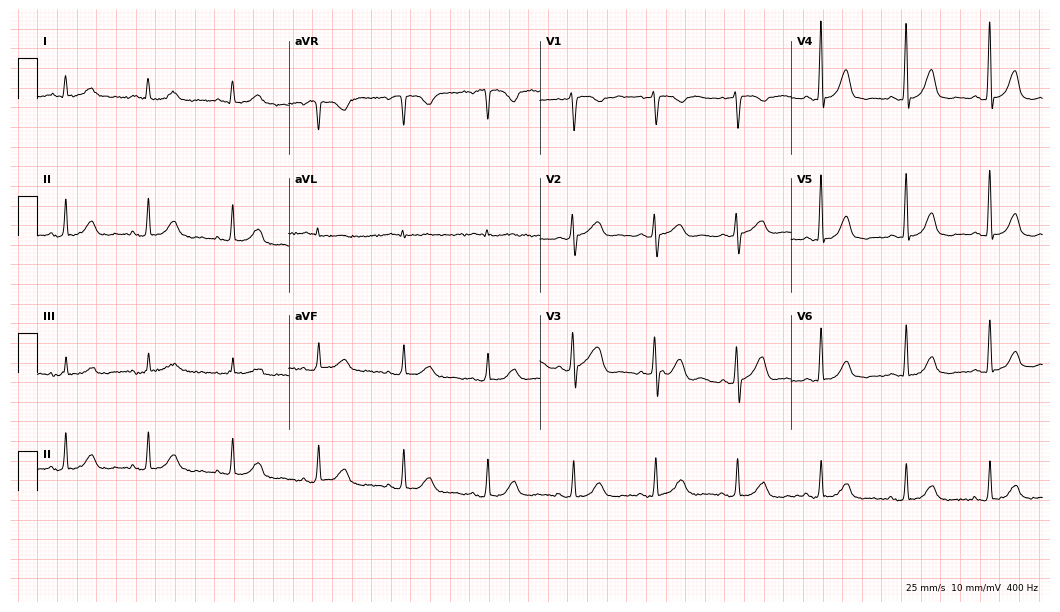
12-lead ECG from a 69-year-old female patient. Recorded interpretation: within normal limits.